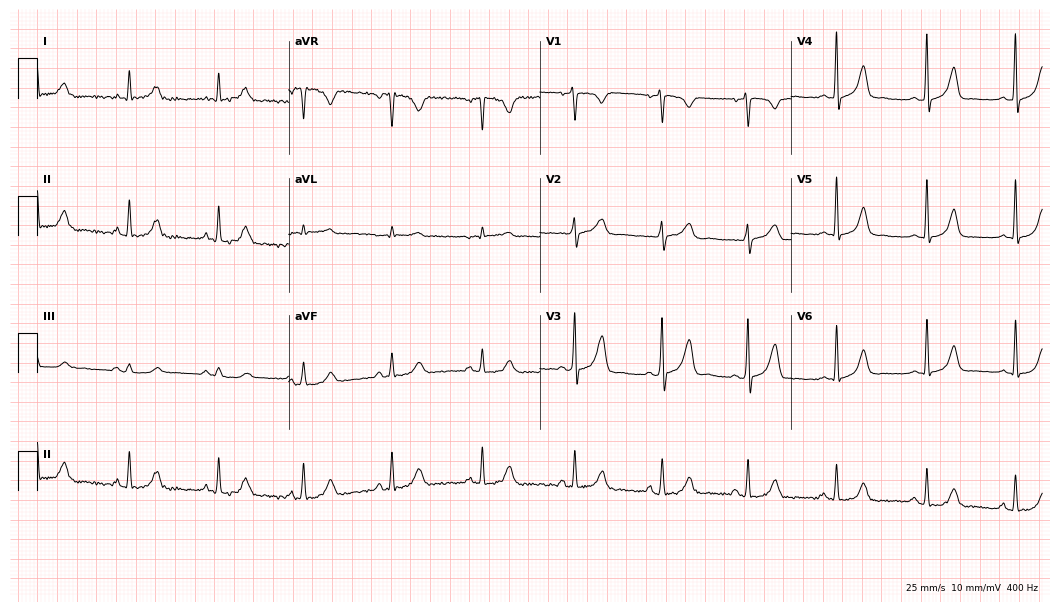
12-lead ECG from a woman, 30 years old. Screened for six findings — first-degree AV block, right bundle branch block, left bundle branch block, sinus bradycardia, atrial fibrillation, sinus tachycardia — none is recorded. Other findings, if any, are not listed.